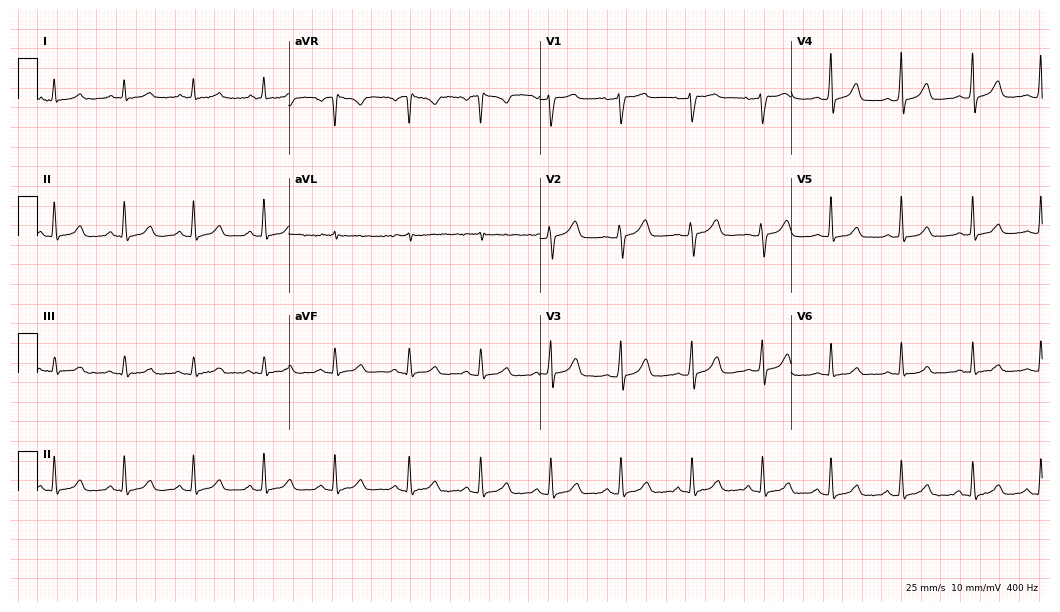
Standard 12-lead ECG recorded from a woman, 47 years old (10.2-second recording at 400 Hz). Read as a normal ECG.